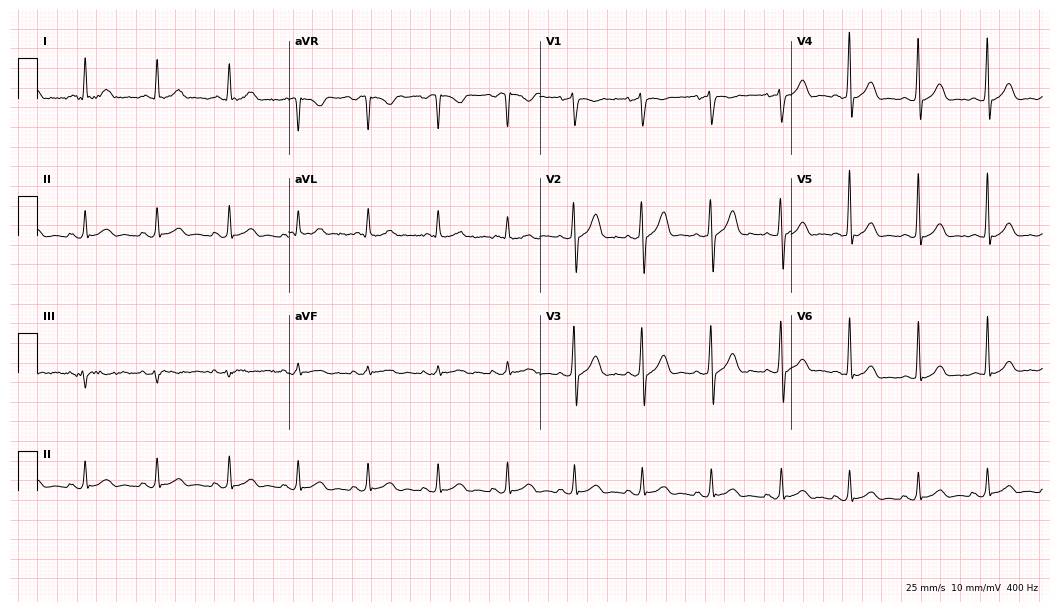
Standard 12-lead ECG recorded from a 51-year-old male. None of these six findings is recorded: first-degree AV block, right bundle branch block, left bundle branch block, sinus bradycardia, atrial fibrillation, sinus tachycardia. Findings outside these six are not listed.